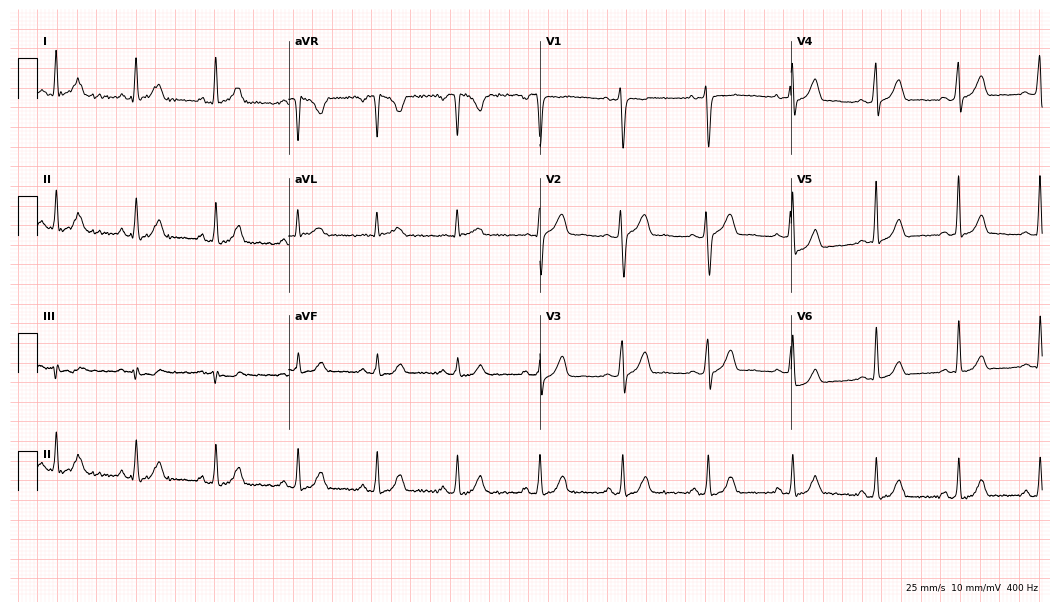
12-lead ECG from a 36-year-old man. Recorded interpretation: within normal limits.